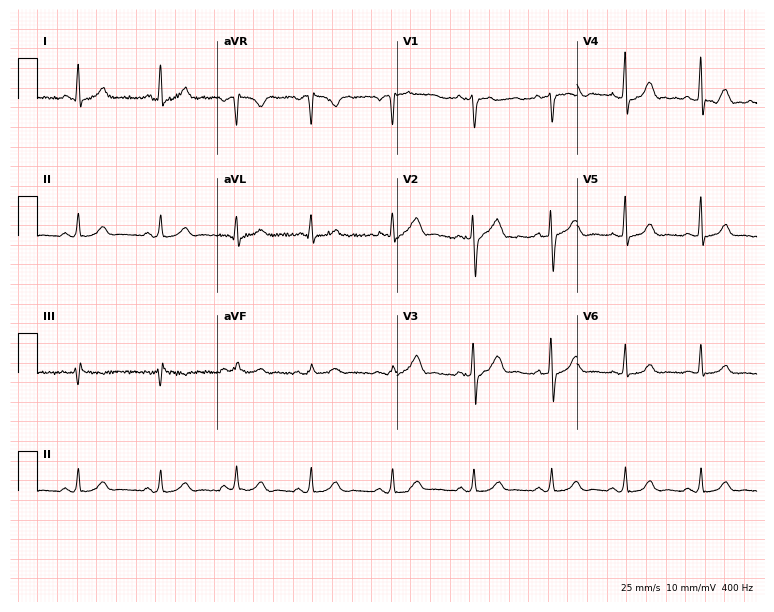
ECG (7.3-second recording at 400 Hz) — a woman, 28 years old. Screened for six findings — first-degree AV block, right bundle branch block (RBBB), left bundle branch block (LBBB), sinus bradycardia, atrial fibrillation (AF), sinus tachycardia — none is recorded. Other findings, if any, are not listed.